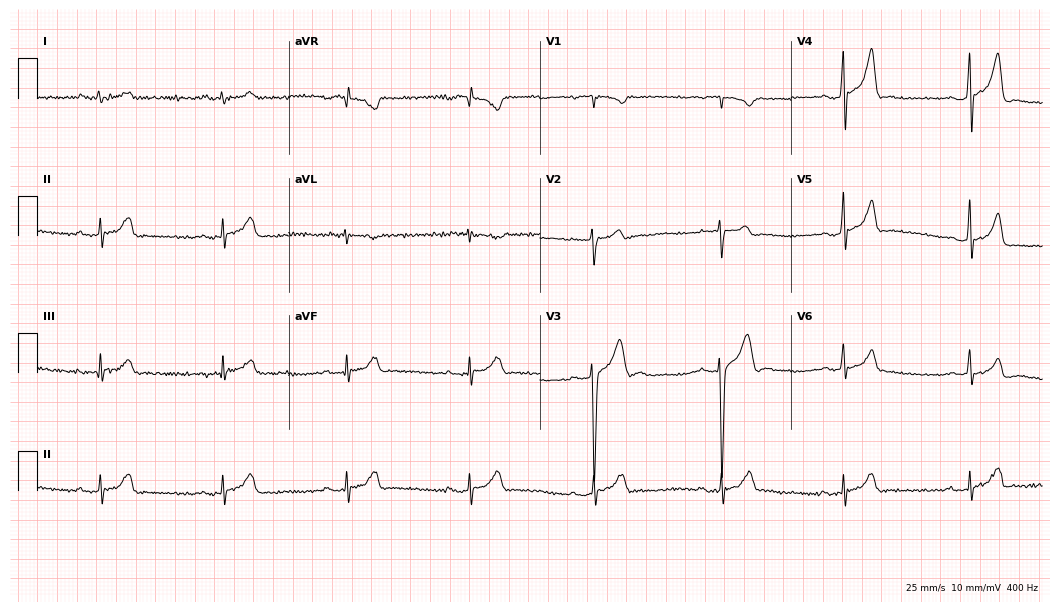
12-lead ECG from a 40-year-old male. Findings include first-degree AV block.